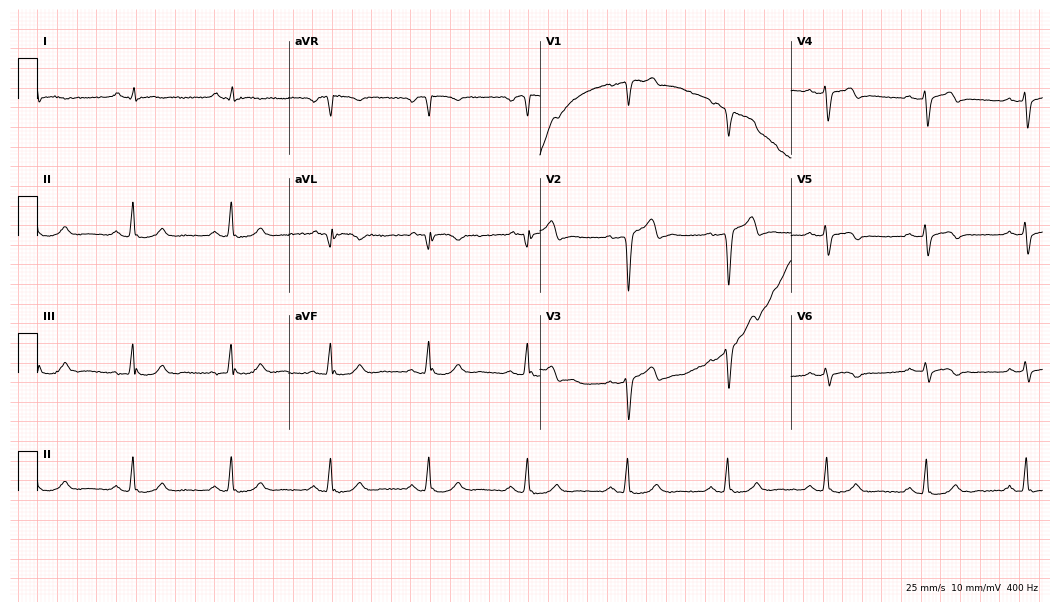
12-lead ECG from a male, 55 years old (10.2-second recording at 400 Hz). No first-degree AV block, right bundle branch block (RBBB), left bundle branch block (LBBB), sinus bradycardia, atrial fibrillation (AF) or sinus tachycardia recorded for this tracing. Findings outside these six are not listed.